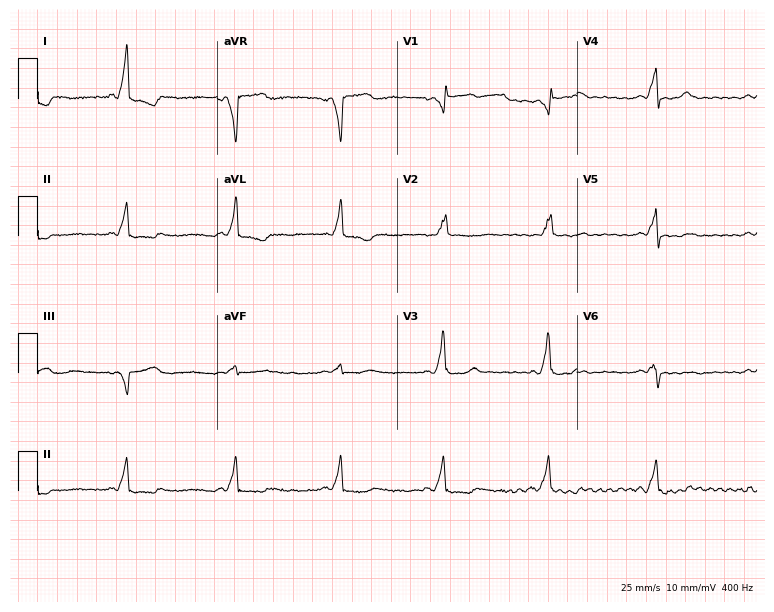
Standard 12-lead ECG recorded from a female patient, 72 years old (7.3-second recording at 400 Hz). None of these six findings is recorded: first-degree AV block, right bundle branch block, left bundle branch block, sinus bradycardia, atrial fibrillation, sinus tachycardia.